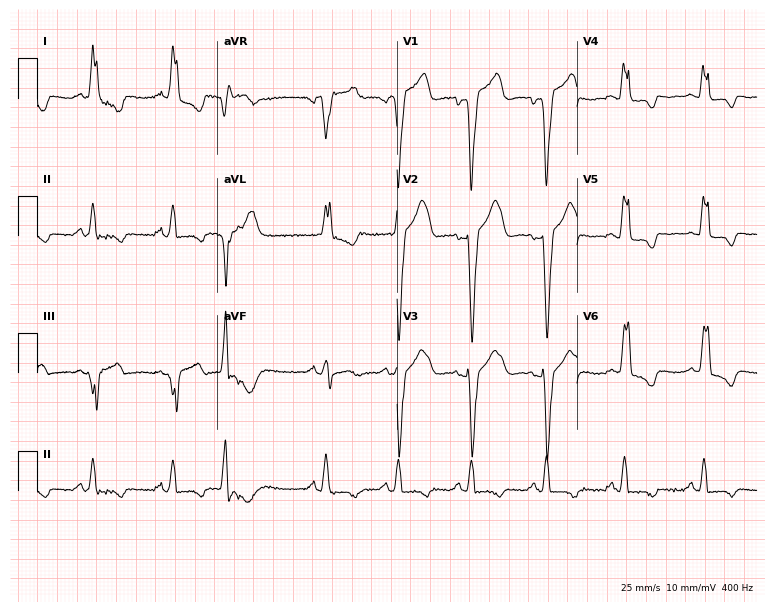
Electrocardiogram (7.3-second recording at 400 Hz), an 80-year-old female. Interpretation includes left bundle branch block.